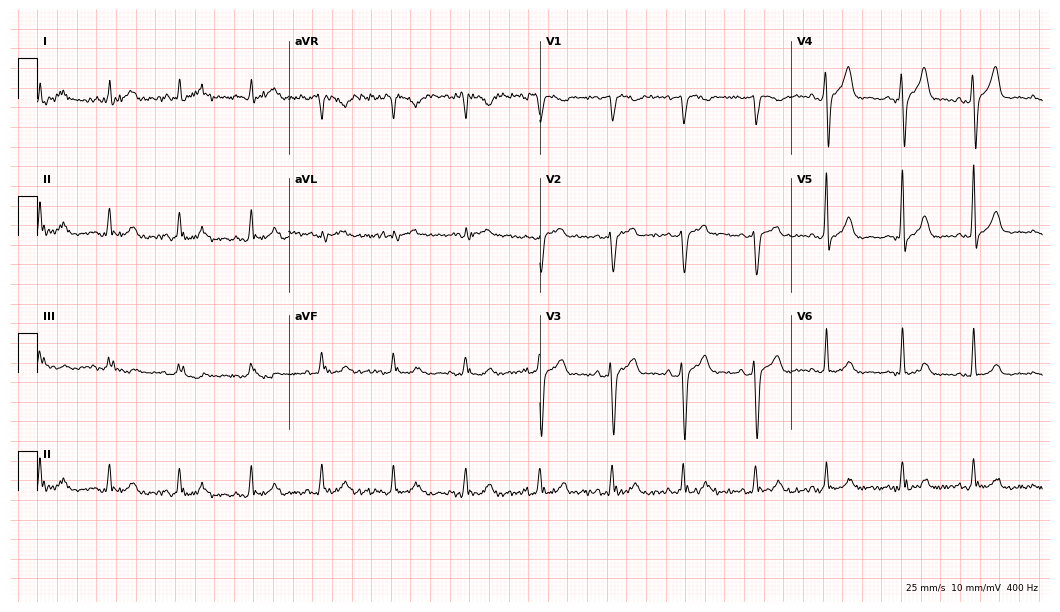
Standard 12-lead ECG recorded from a male patient, 84 years old (10.2-second recording at 400 Hz). None of these six findings is recorded: first-degree AV block, right bundle branch block (RBBB), left bundle branch block (LBBB), sinus bradycardia, atrial fibrillation (AF), sinus tachycardia.